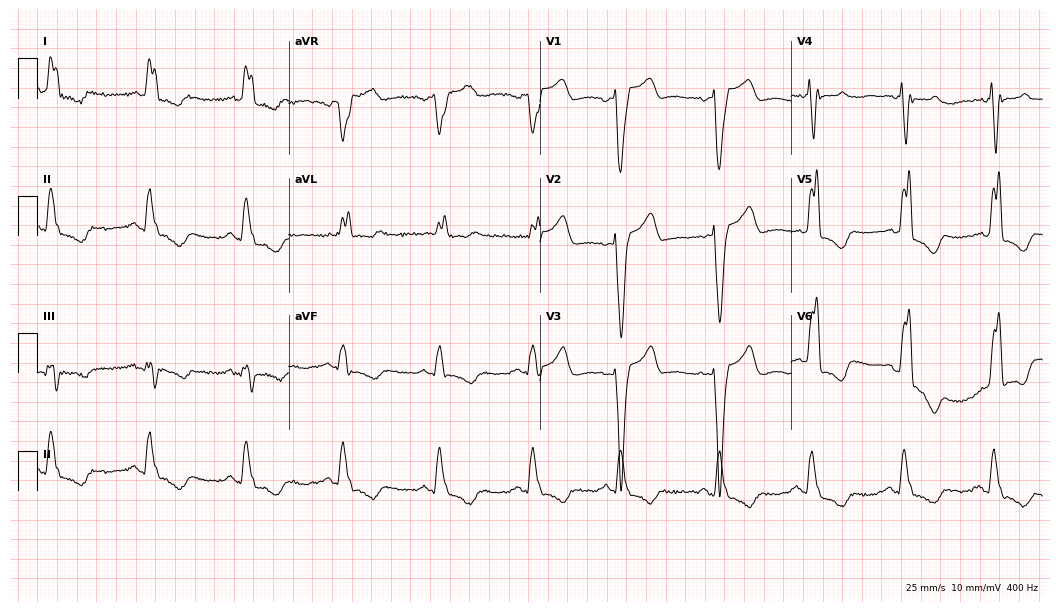
Resting 12-lead electrocardiogram. Patient: a woman, 84 years old. The tracing shows left bundle branch block (LBBB).